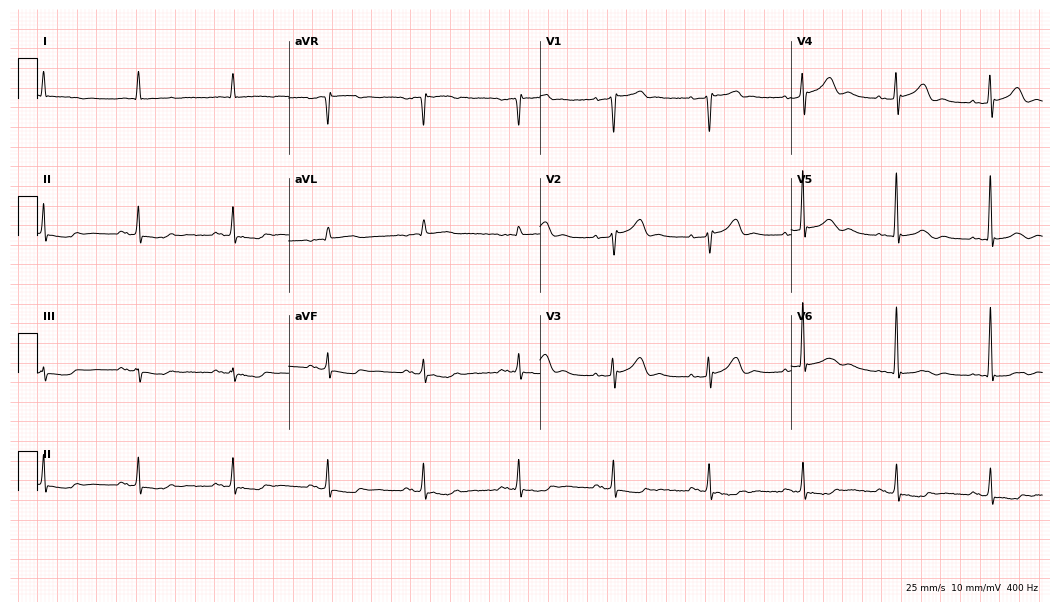
Standard 12-lead ECG recorded from a 75-year-old male. None of these six findings is recorded: first-degree AV block, right bundle branch block, left bundle branch block, sinus bradycardia, atrial fibrillation, sinus tachycardia.